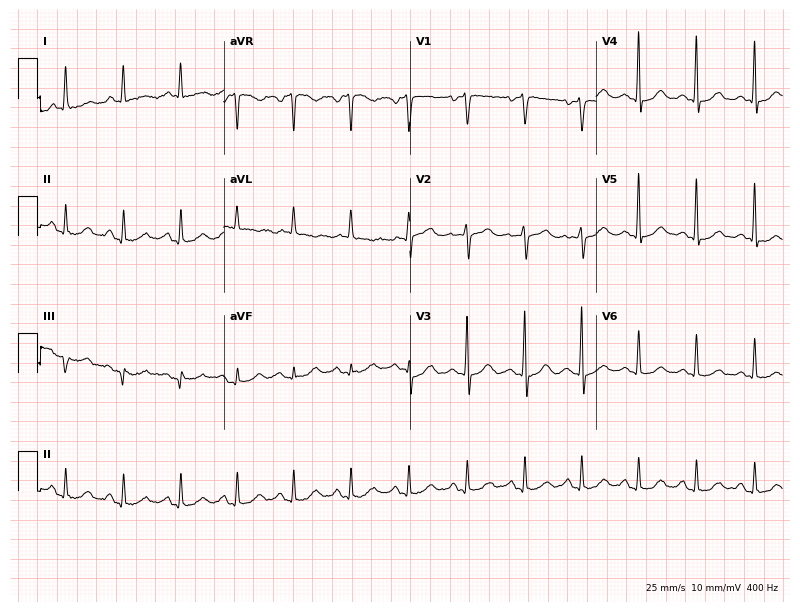
12-lead ECG (7.6-second recording at 400 Hz) from a woman, 65 years old. Findings include sinus tachycardia (a sinus rate of 100 beats per minute or more).